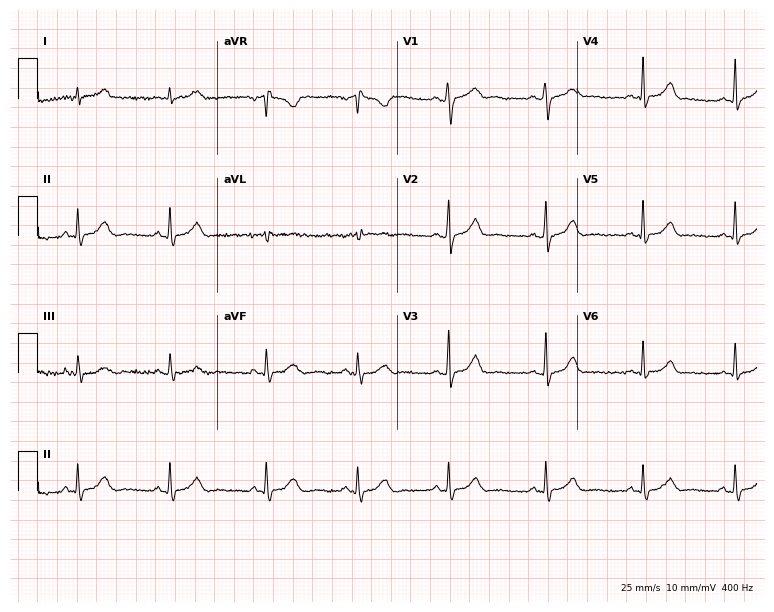
Standard 12-lead ECG recorded from a female patient, 30 years old (7.3-second recording at 400 Hz). Read as a normal ECG.